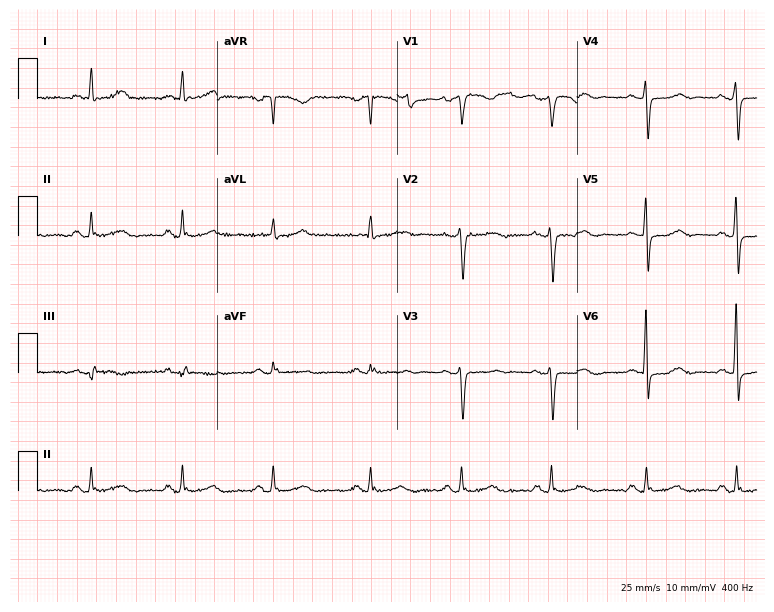
ECG (7.3-second recording at 400 Hz) — a female, 75 years old. Labelled as a normal ECG.